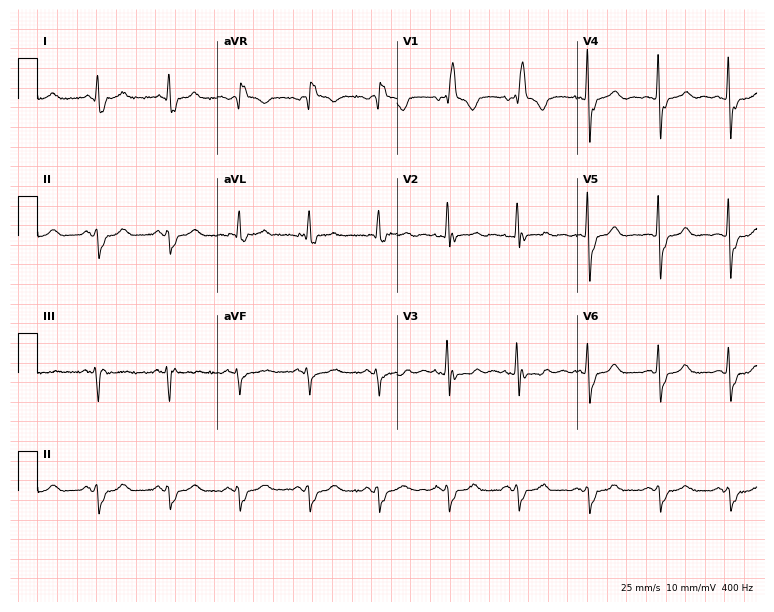
Electrocardiogram, a 66-year-old man. Interpretation includes right bundle branch block (RBBB).